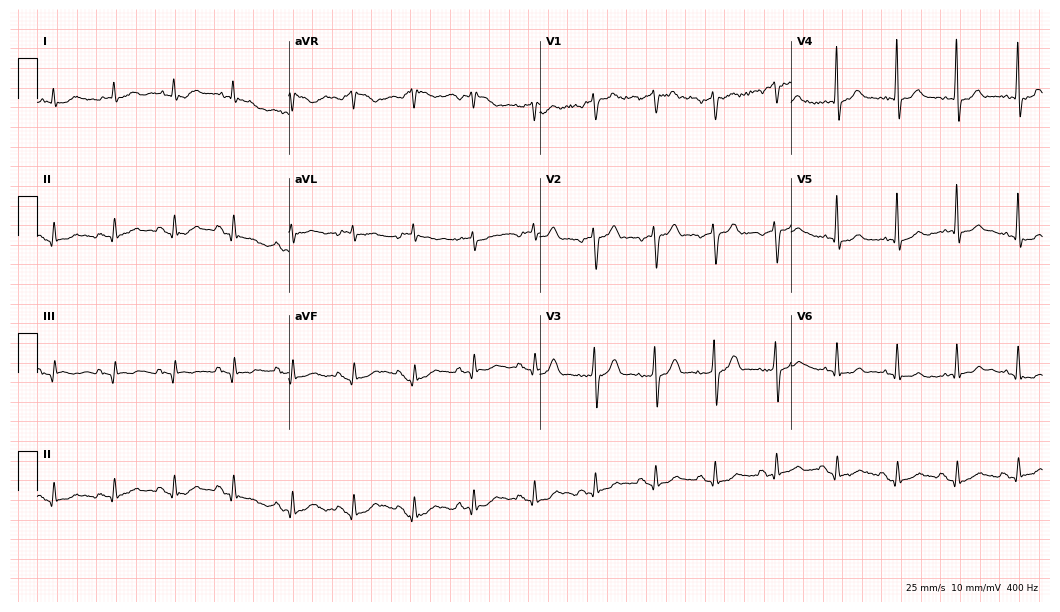
12-lead ECG from an 85-year-old male (10.2-second recording at 400 Hz). Recorded interpretation: within normal limits.